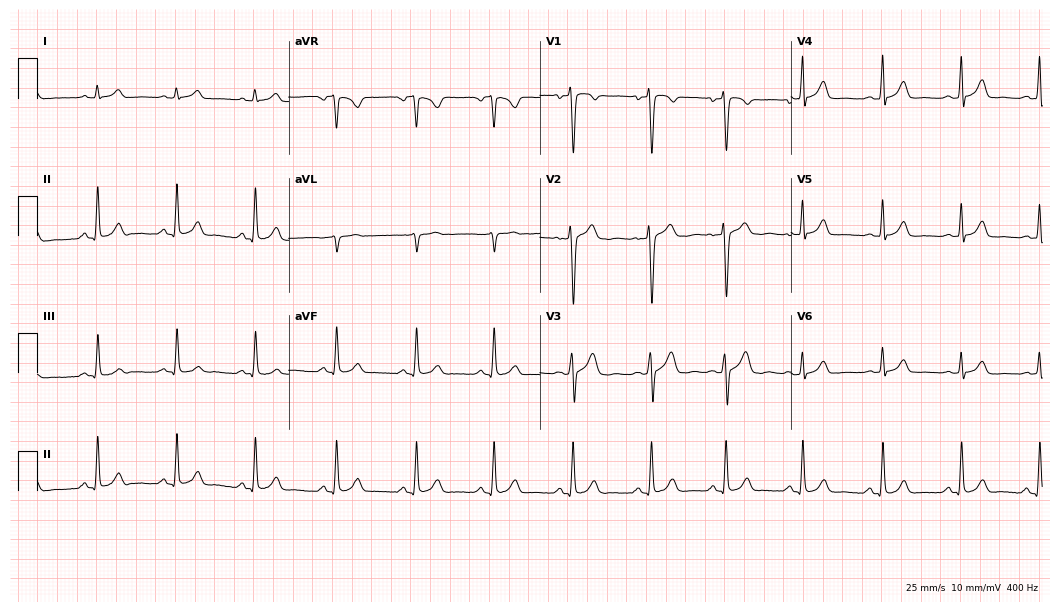
12-lead ECG from a 26-year-old woman. Labelled as a normal ECG.